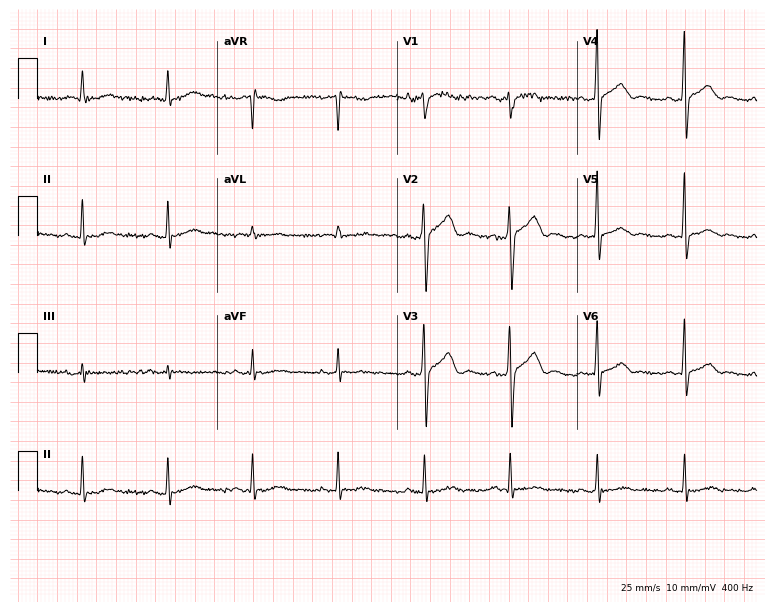
Electrocardiogram (7.3-second recording at 400 Hz), a man, 57 years old. Overall reading on record: normal ECG.